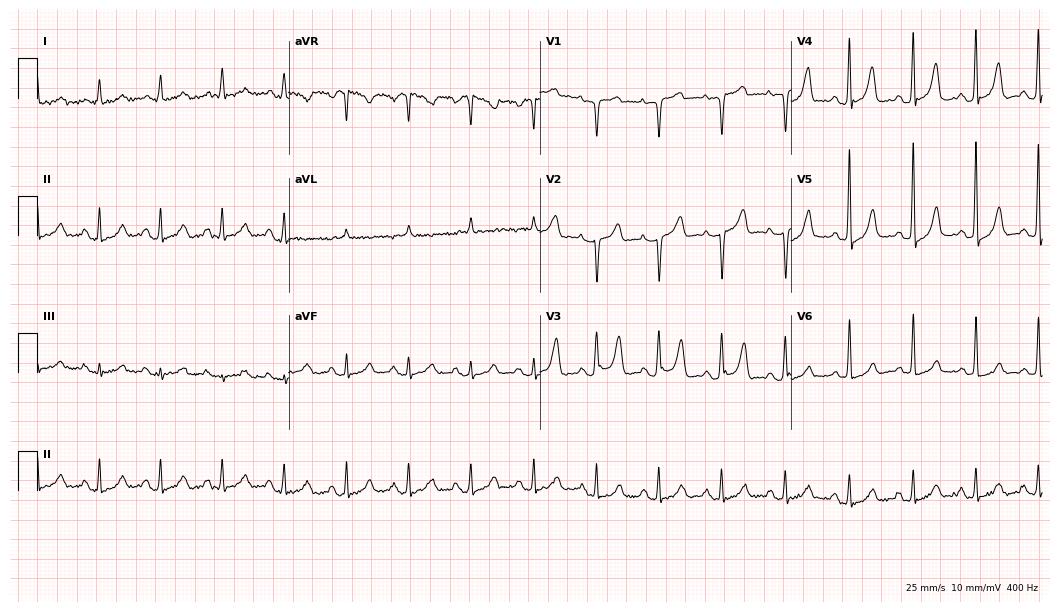
12-lead ECG (10.2-second recording at 400 Hz) from a woman, 82 years old. Labelled as a normal ECG.